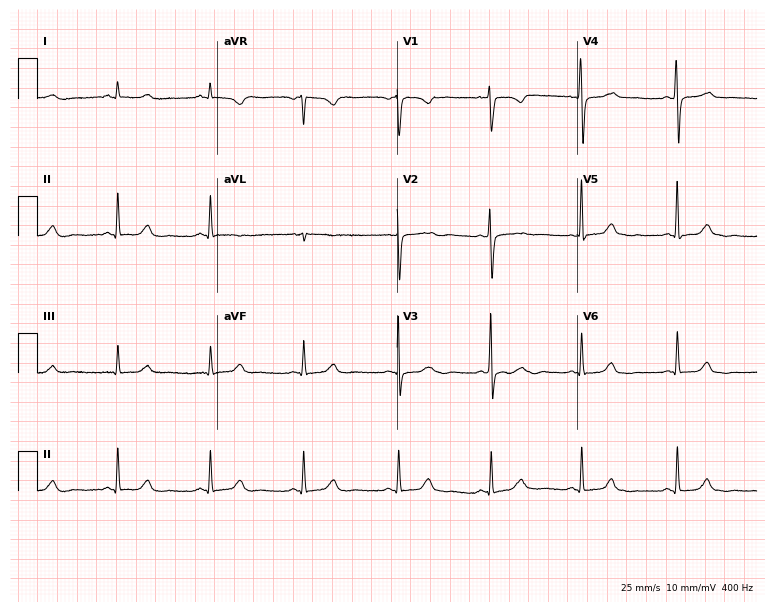
Resting 12-lead electrocardiogram. Patient: a female, 29 years old. Read as a normal ECG.